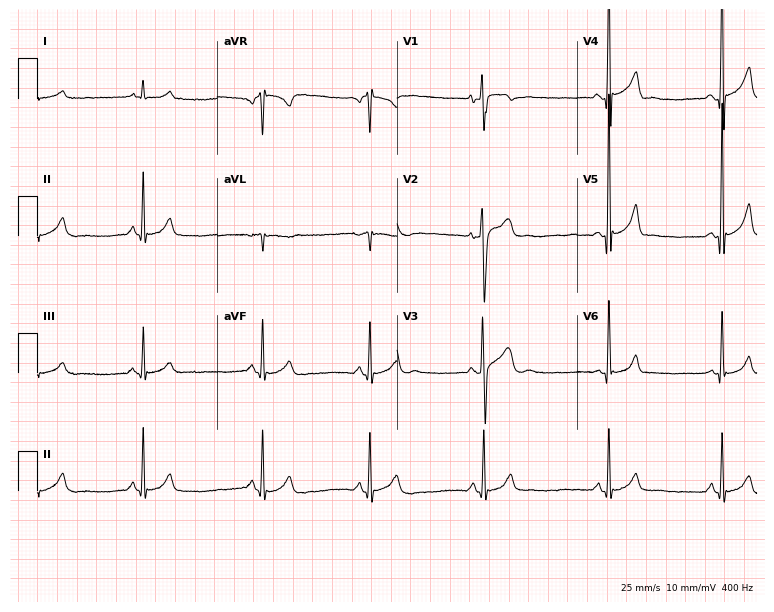
12-lead ECG (7.3-second recording at 400 Hz) from a male patient, 20 years old. Screened for six findings — first-degree AV block, right bundle branch block (RBBB), left bundle branch block (LBBB), sinus bradycardia, atrial fibrillation (AF), sinus tachycardia — none is recorded.